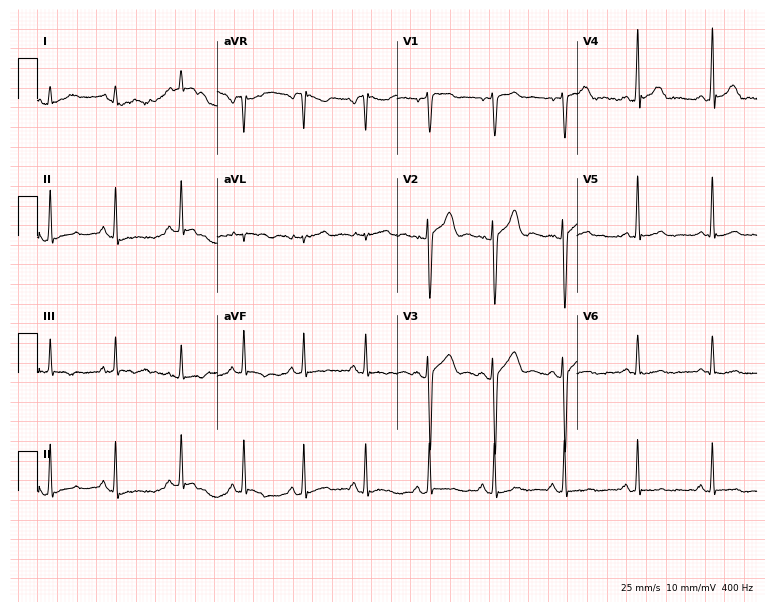
12-lead ECG (7.3-second recording at 400 Hz) from a 24-year-old man. Screened for six findings — first-degree AV block, right bundle branch block, left bundle branch block, sinus bradycardia, atrial fibrillation, sinus tachycardia — none is recorded. Other findings, if any, are not listed.